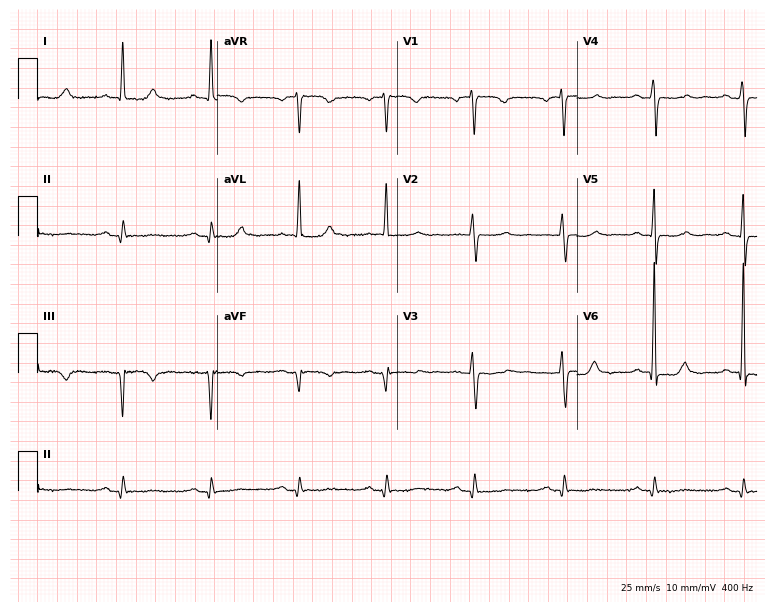
Standard 12-lead ECG recorded from a woman, 85 years old (7.3-second recording at 400 Hz). Read as a normal ECG.